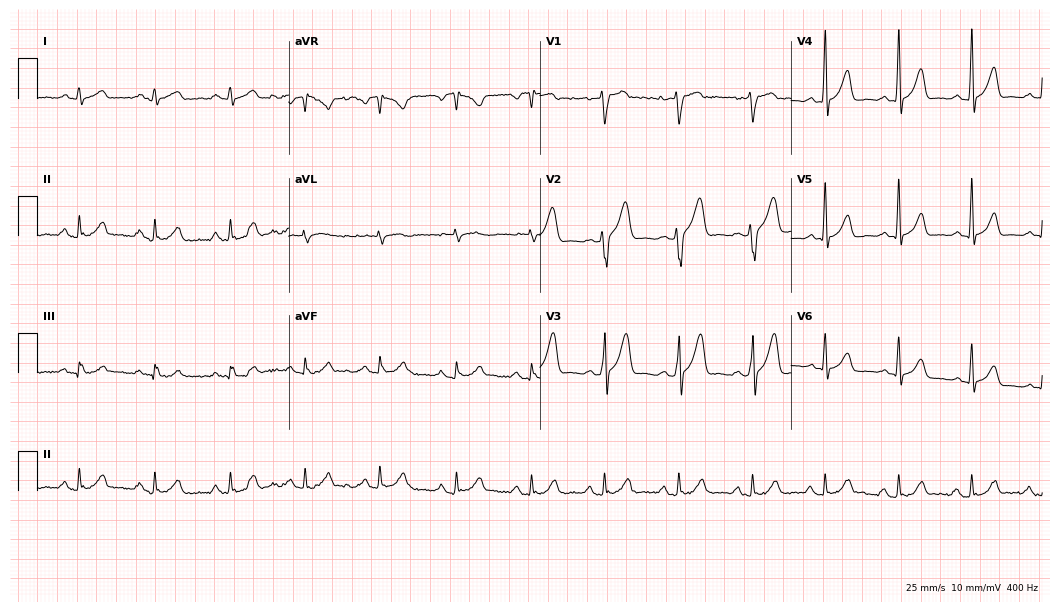
Resting 12-lead electrocardiogram. Patient: a male, 37 years old. None of these six findings is recorded: first-degree AV block, right bundle branch block, left bundle branch block, sinus bradycardia, atrial fibrillation, sinus tachycardia.